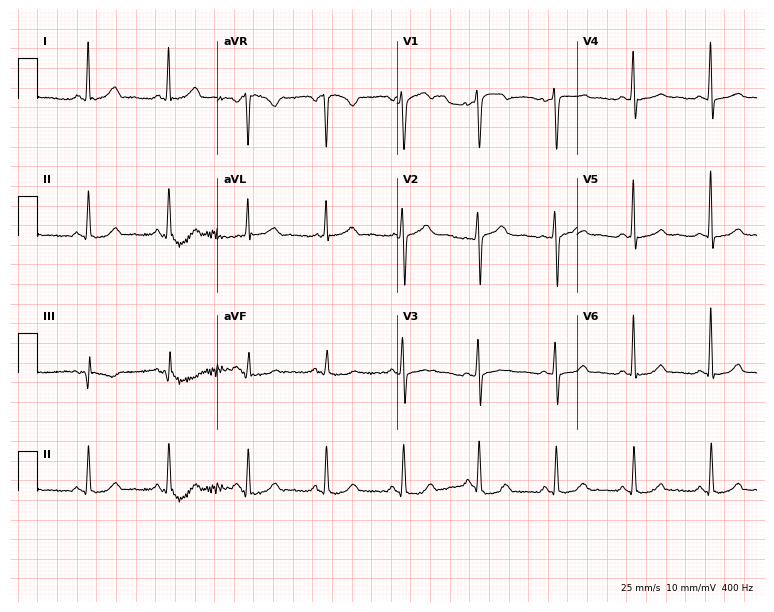
Resting 12-lead electrocardiogram (7.3-second recording at 400 Hz). Patient: a female, 49 years old. Read as a normal ECG.